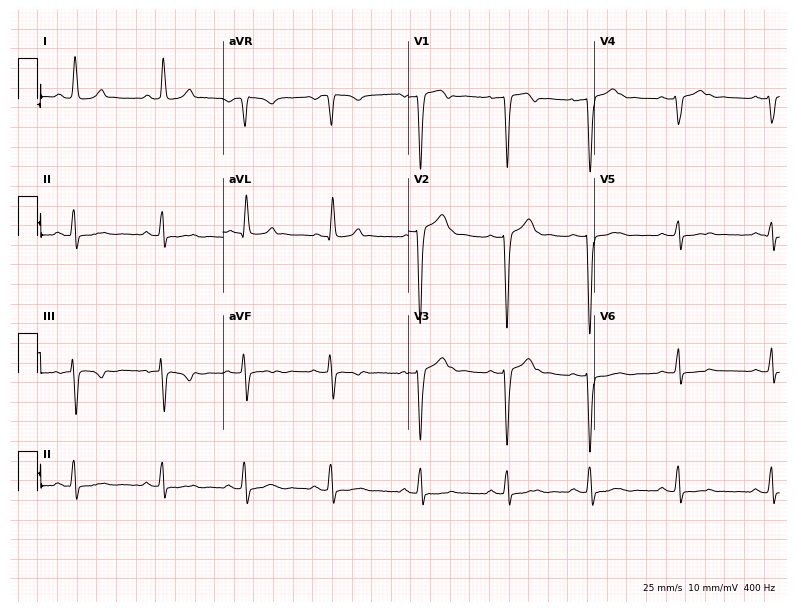
Standard 12-lead ECG recorded from a 29-year-old woman (7.6-second recording at 400 Hz). None of these six findings is recorded: first-degree AV block, right bundle branch block, left bundle branch block, sinus bradycardia, atrial fibrillation, sinus tachycardia. Other findings, if any, are not listed.